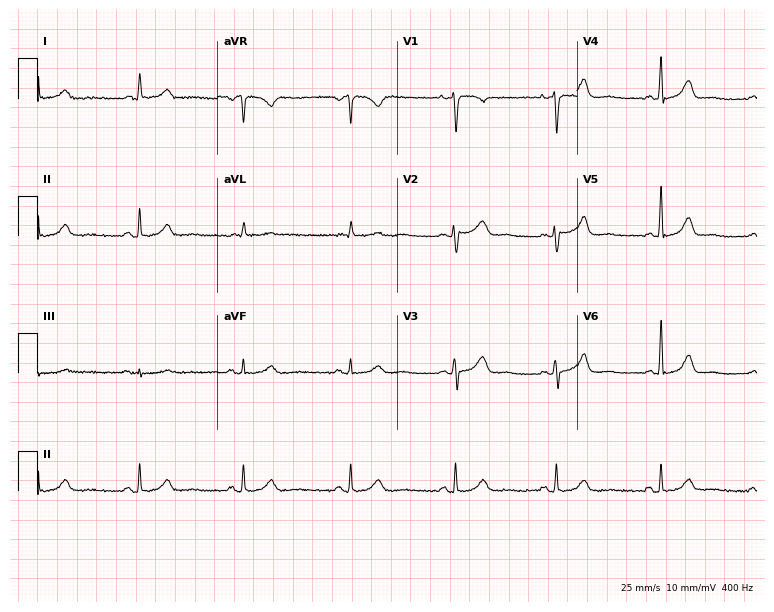
12-lead ECG from a 41-year-old woman. No first-degree AV block, right bundle branch block, left bundle branch block, sinus bradycardia, atrial fibrillation or sinus tachycardia recorded for this tracing. Other findings, if any, are not listed.